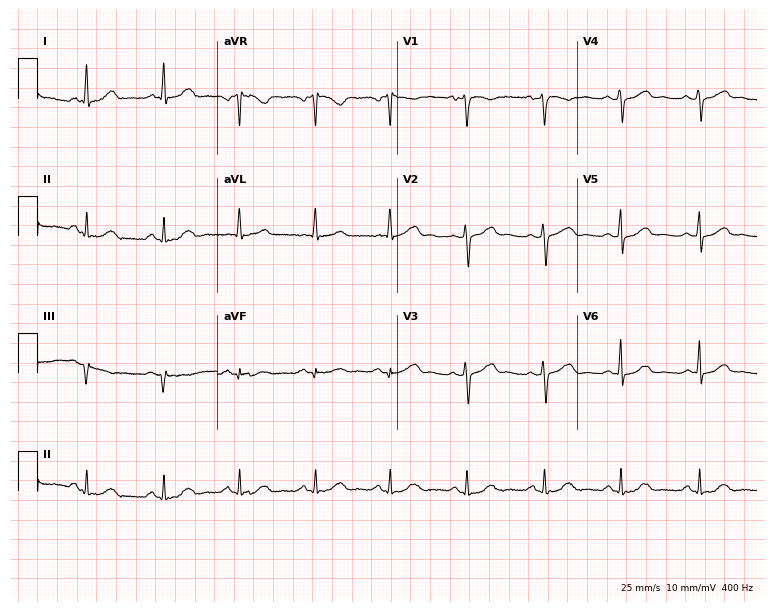
Resting 12-lead electrocardiogram (7.3-second recording at 400 Hz). Patient: a 51-year-old male. None of these six findings is recorded: first-degree AV block, right bundle branch block, left bundle branch block, sinus bradycardia, atrial fibrillation, sinus tachycardia.